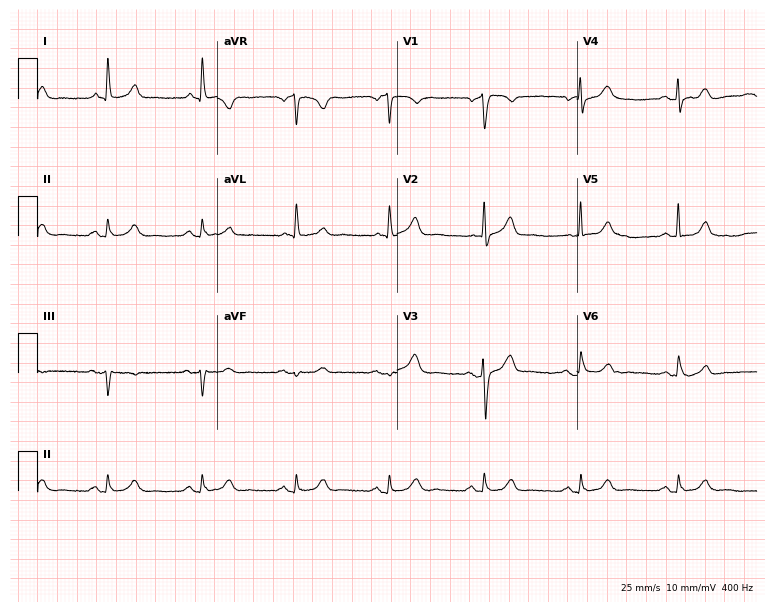
Resting 12-lead electrocardiogram (7.3-second recording at 400 Hz). Patient: a male, 76 years old. Read as a normal ECG.